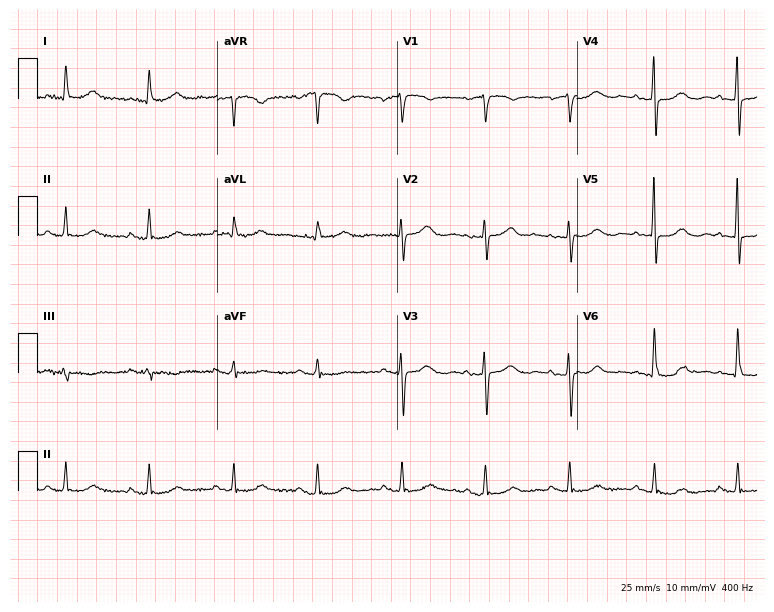
12-lead ECG from a woman, 83 years old. Screened for six findings — first-degree AV block, right bundle branch block, left bundle branch block, sinus bradycardia, atrial fibrillation, sinus tachycardia — none is recorded.